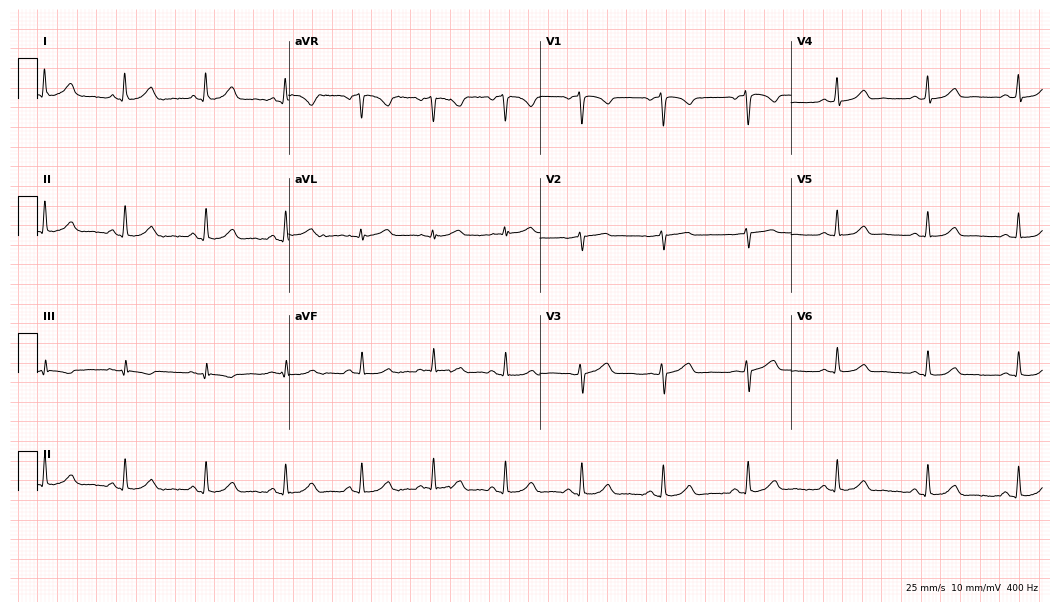
Standard 12-lead ECG recorded from a female, 48 years old (10.2-second recording at 400 Hz). None of these six findings is recorded: first-degree AV block, right bundle branch block (RBBB), left bundle branch block (LBBB), sinus bradycardia, atrial fibrillation (AF), sinus tachycardia. Only these six findings were labelled.